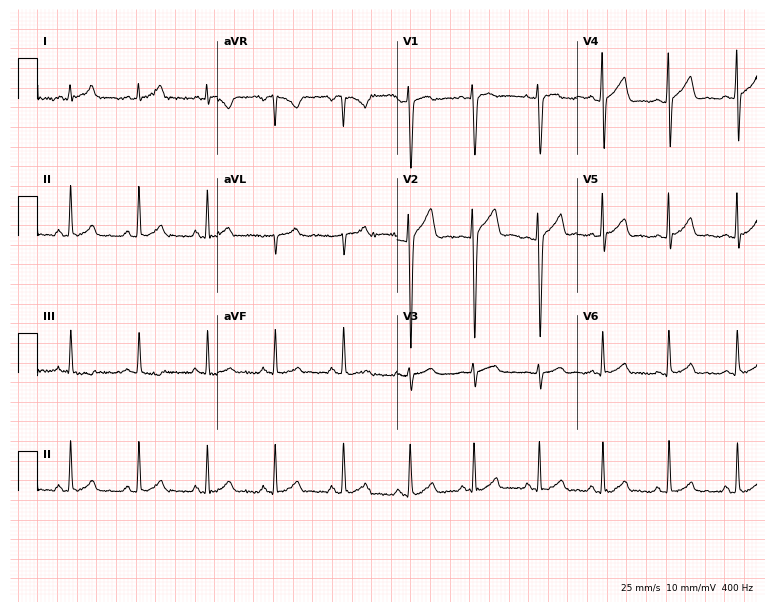
Electrocardiogram (7.3-second recording at 400 Hz), a 21-year-old male. Overall reading on record: normal ECG.